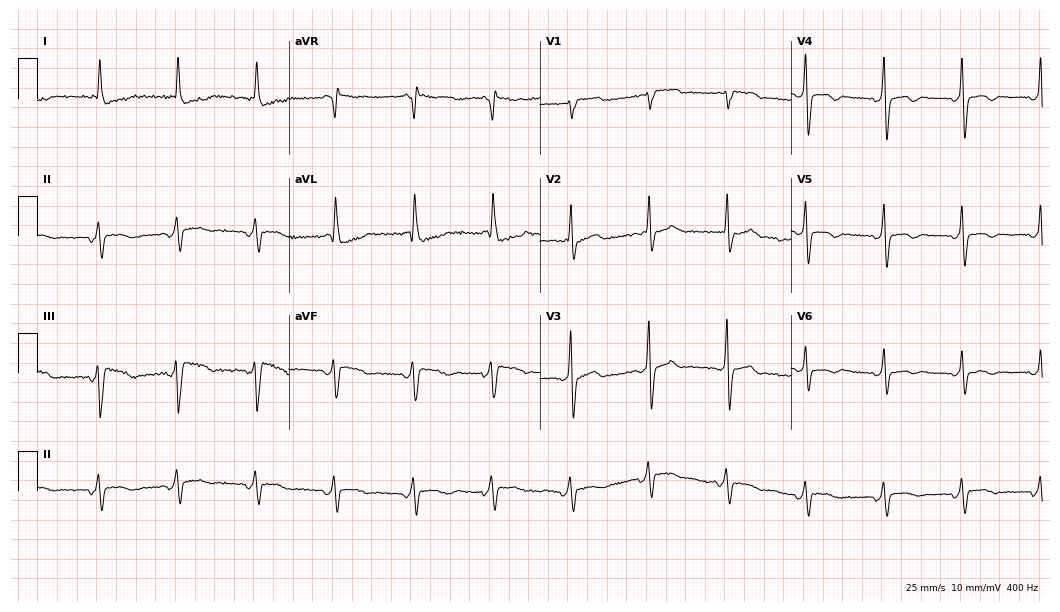
ECG (10.2-second recording at 400 Hz) — an 84-year-old man. Screened for six findings — first-degree AV block, right bundle branch block, left bundle branch block, sinus bradycardia, atrial fibrillation, sinus tachycardia — none is recorded.